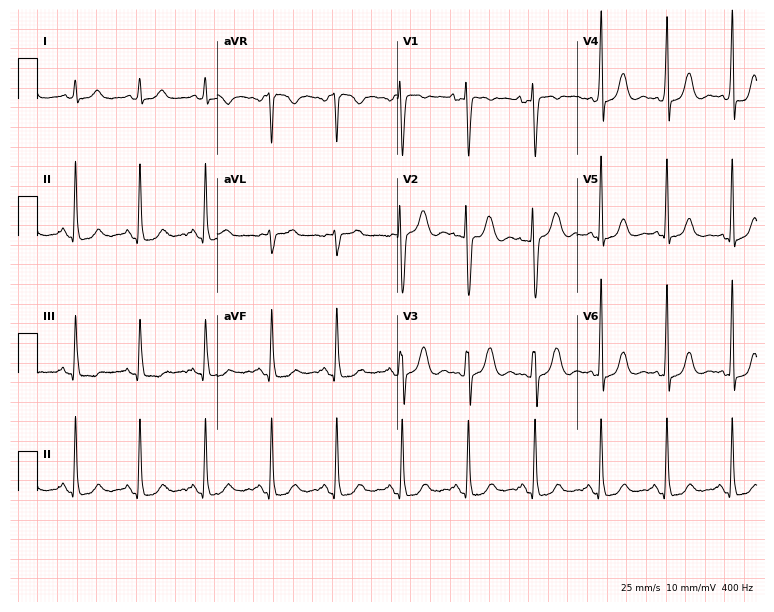
12-lead ECG from a female, 42 years old (7.3-second recording at 400 Hz). Recorded interpretation: within normal limits.